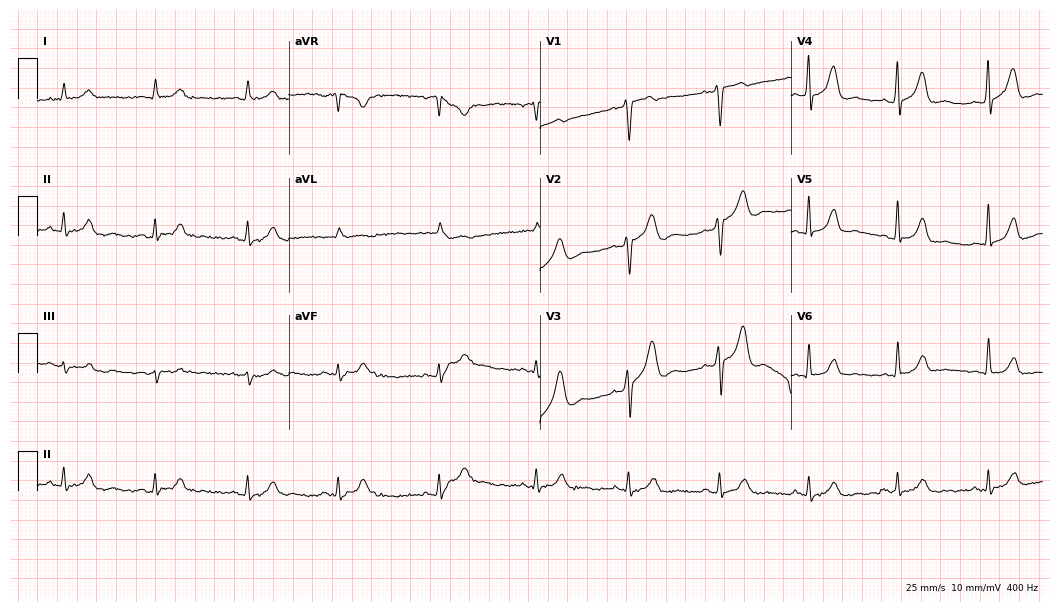
12-lead ECG (10.2-second recording at 400 Hz) from a man, 49 years old. Screened for six findings — first-degree AV block, right bundle branch block, left bundle branch block, sinus bradycardia, atrial fibrillation, sinus tachycardia — none is recorded. Findings outside these six are not listed.